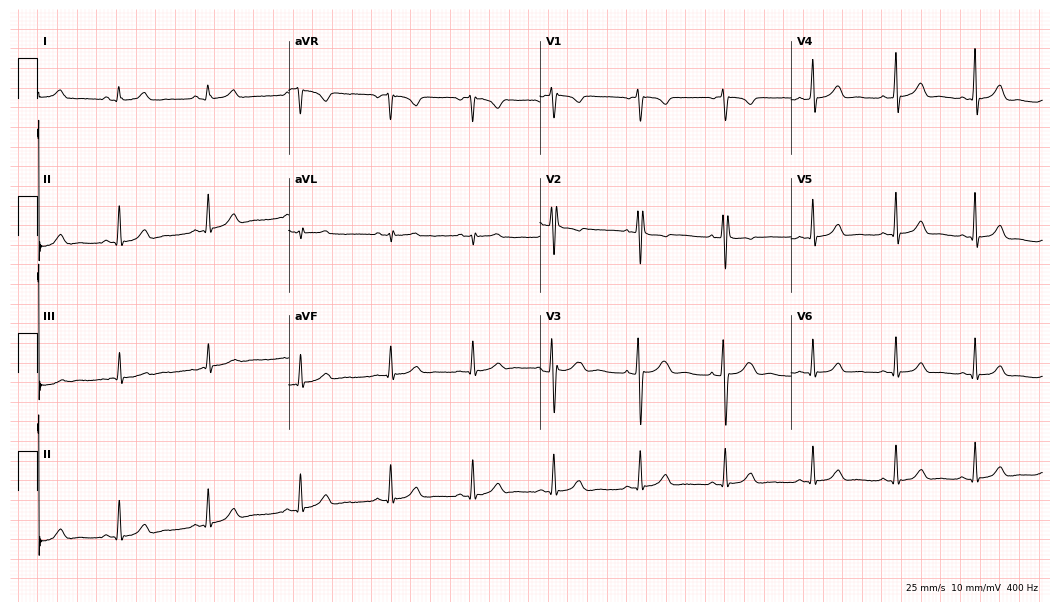
12-lead ECG from a 21-year-old female patient. Labelled as a normal ECG.